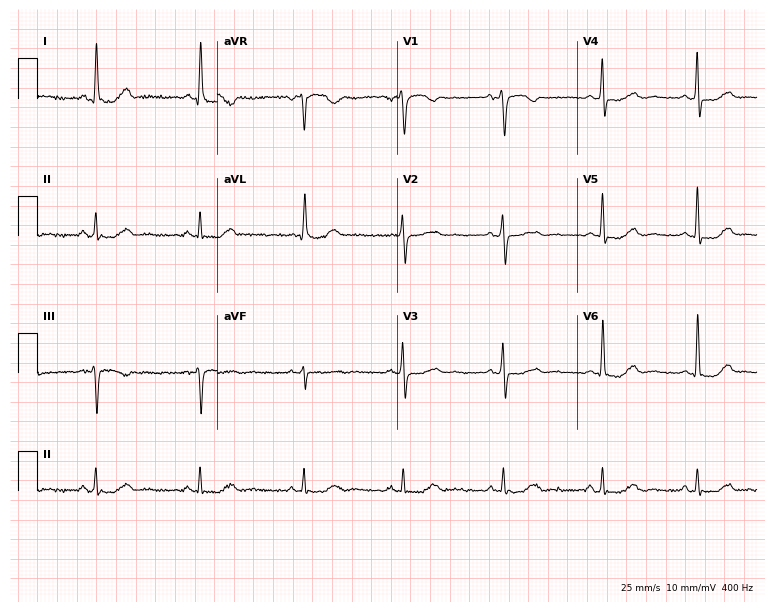
Standard 12-lead ECG recorded from a female patient, 63 years old. Read as a normal ECG.